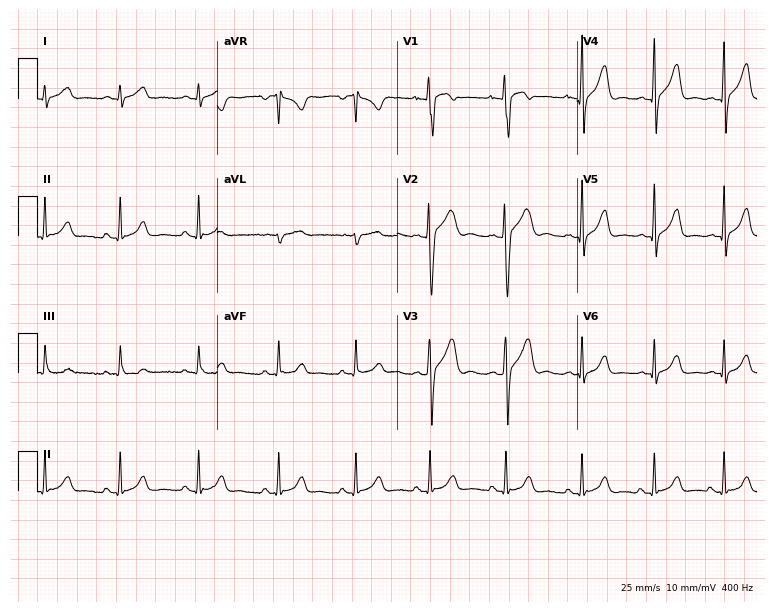
Electrocardiogram (7.3-second recording at 400 Hz), a man, 19 years old. Of the six screened findings (first-degree AV block, right bundle branch block, left bundle branch block, sinus bradycardia, atrial fibrillation, sinus tachycardia), none is recorded. Findings outside these six are not listed.